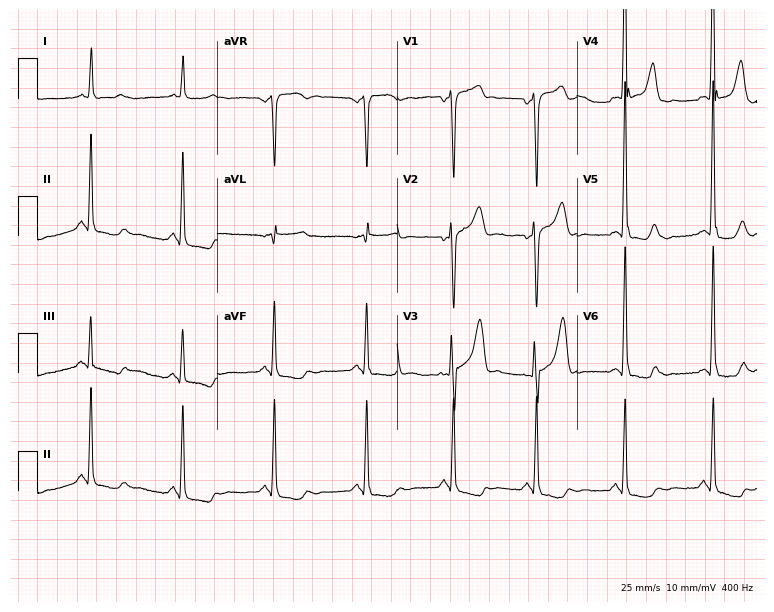
12-lead ECG from a man, 50 years old. No first-degree AV block, right bundle branch block, left bundle branch block, sinus bradycardia, atrial fibrillation or sinus tachycardia recorded for this tracing. Only these six findings were labelled.